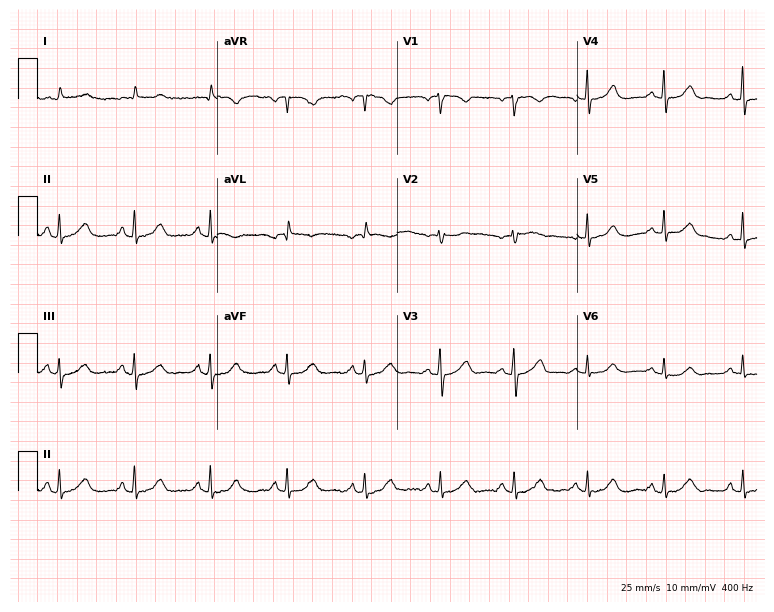
12-lead ECG from a 71-year-old female. Labelled as a normal ECG.